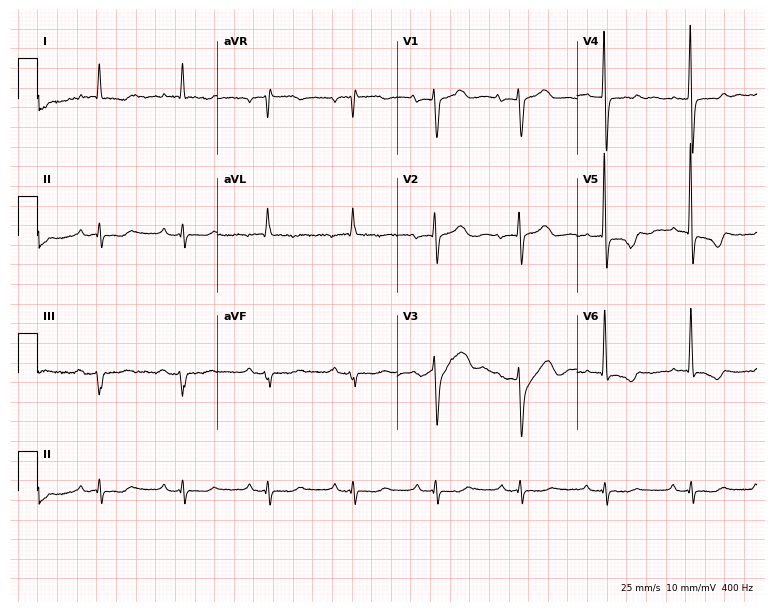
Standard 12-lead ECG recorded from a woman, 83 years old (7.3-second recording at 400 Hz). None of these six findings is recorded: first-degree AV block, right bundle branch block, left bundle branch block, sinus bradycardia, atrial fibrillation, sinus tachycardia. Other findings, if any, are not listed.